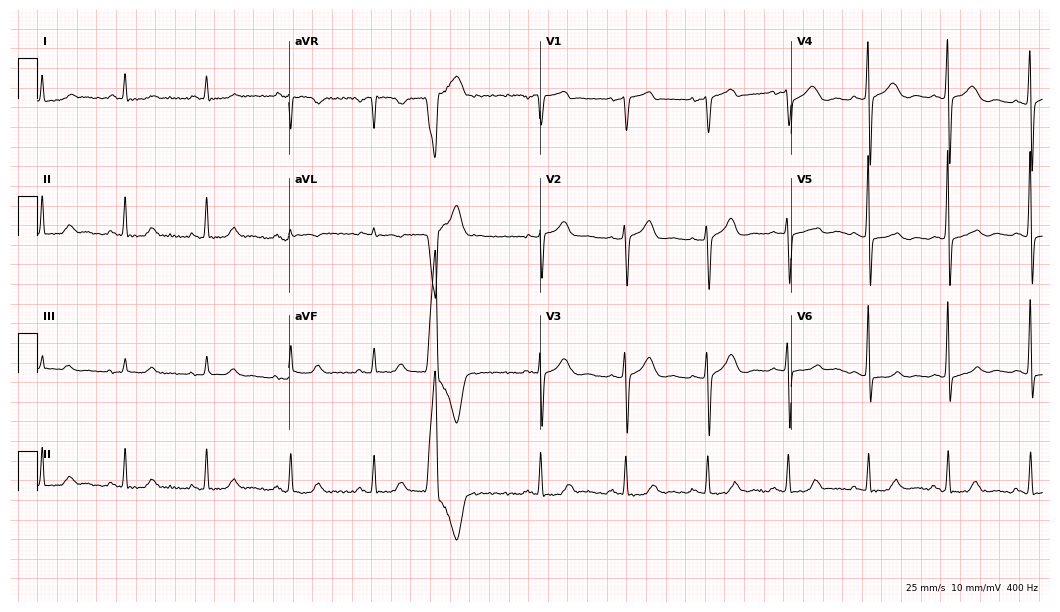
ECG — a 54-year-old female. Screened for six findings — first-degree AV block, right bundle branch block (RBBB), left bundle branch block (LBBB), sinus bradycardia, atrial fibrillation (AF), sinus tachycardia — none is recorded.